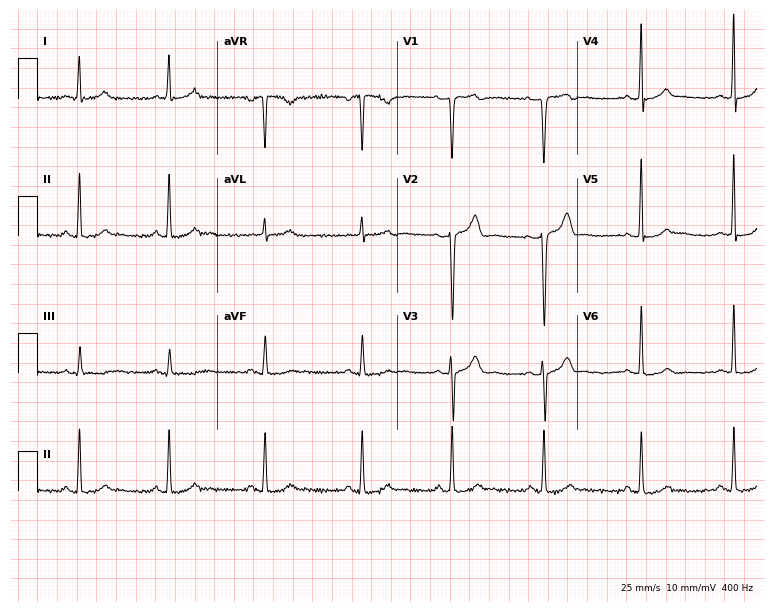
ECG (7.3-second recording at 400 Hz) — a woman, 21 years old. Labelled as a normal ECG.